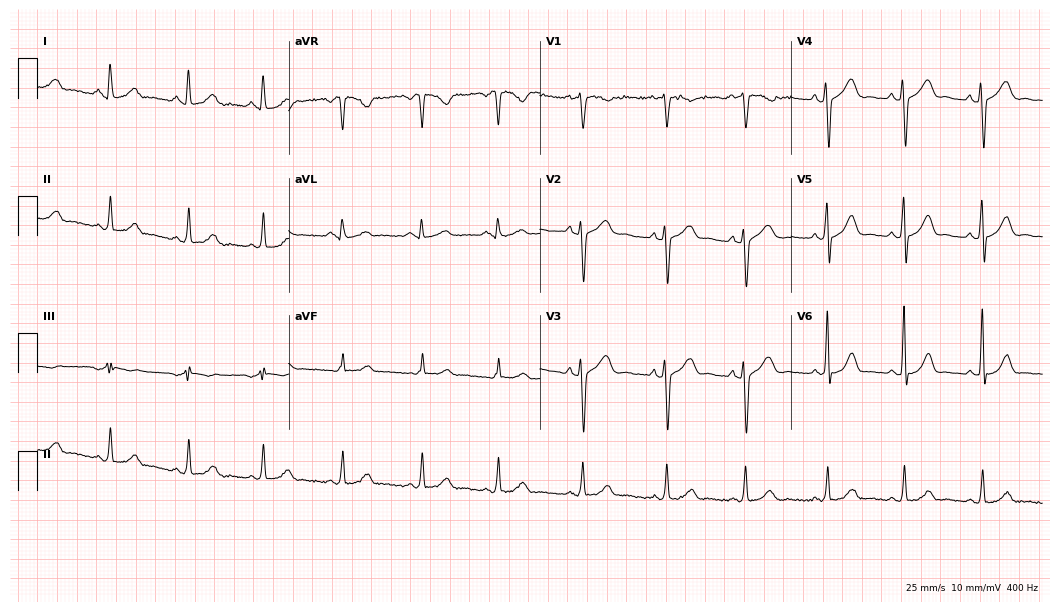
ECG — a 24-year-old female. Labelled as a normal ECG.